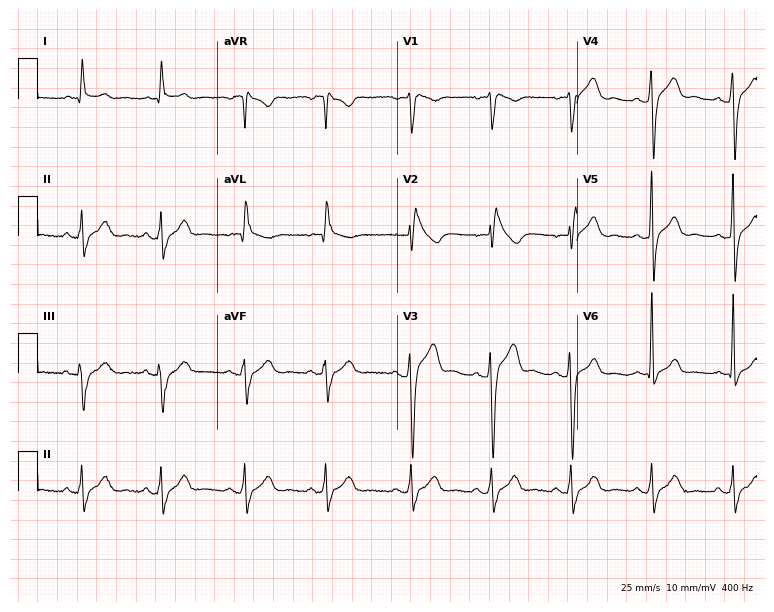
12-lead ECG from a 26-year-old male. Screened for six findings — first-degree AV block, right bundle branch block, left bundle branch block, sinus bradycardia, atrial fibrillation, sinus tachycardia — none is recorded.